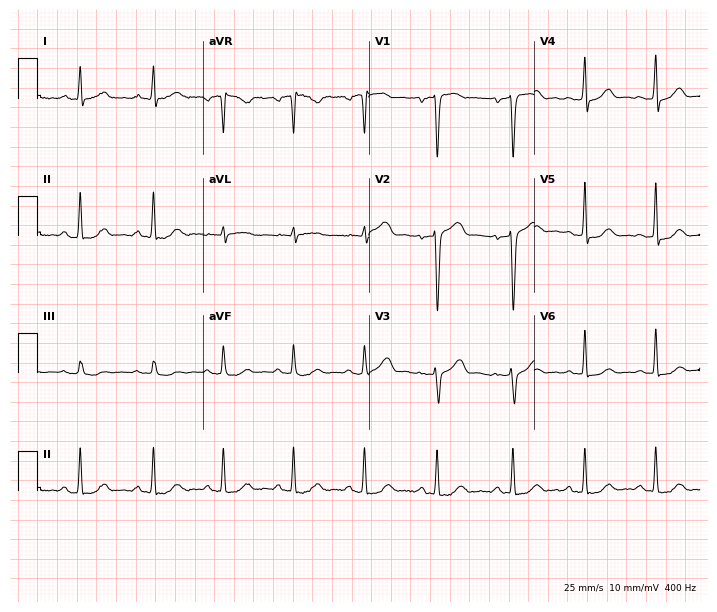
12-lead ECG (6.8-second recording at 400 Hz) from a female patient, 45 years old. Screened for six findings — first-degree AV block, right bundle branch block (RBBB), left bundle branch block (LBBB), sinus bradycardia, atrial fibrillation (AF), sinus tachycardia — none is recorded. Other findings, if any, are not listed.